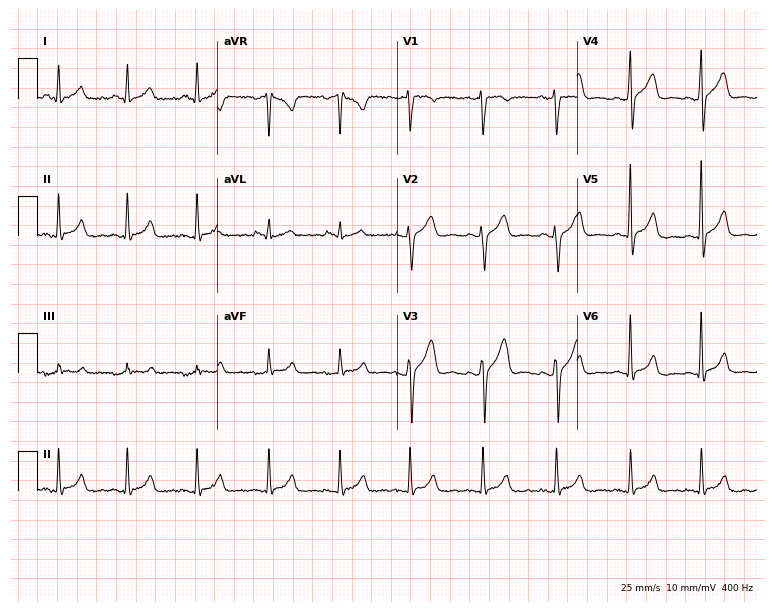
Standard 12-lead ECG recorded from a 37-year-old man (7.3-second recording at 400 Hz). Read as a normal ECG.